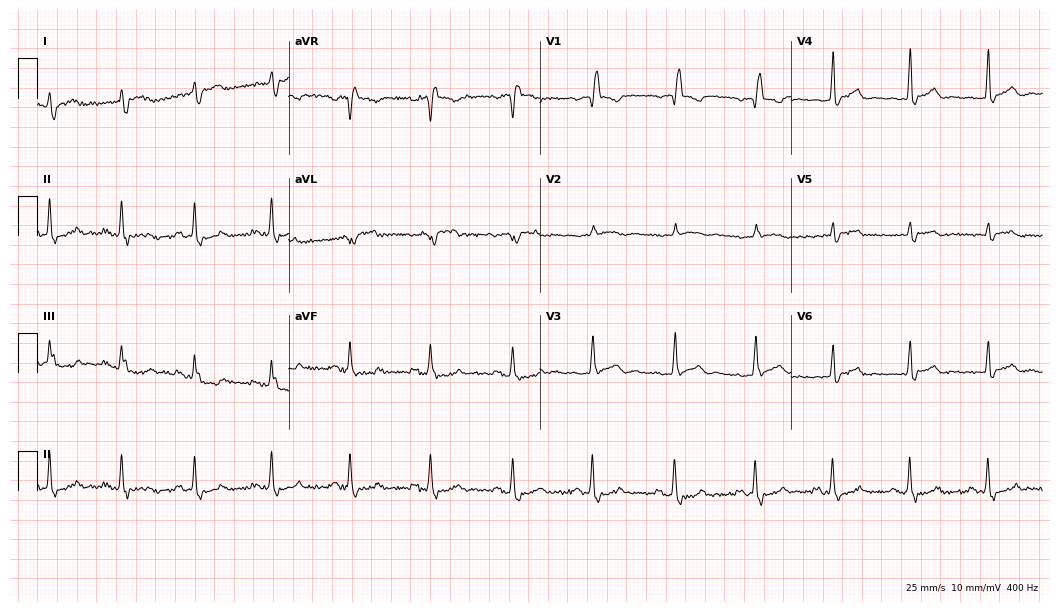
12-lead ECG from a man, 82 years old. No first-degree AV block, right bundle branch block, left bundle branch block, sinus bradycardia, atrial fibrillation or sinus tachycardia recorded for this tracing.